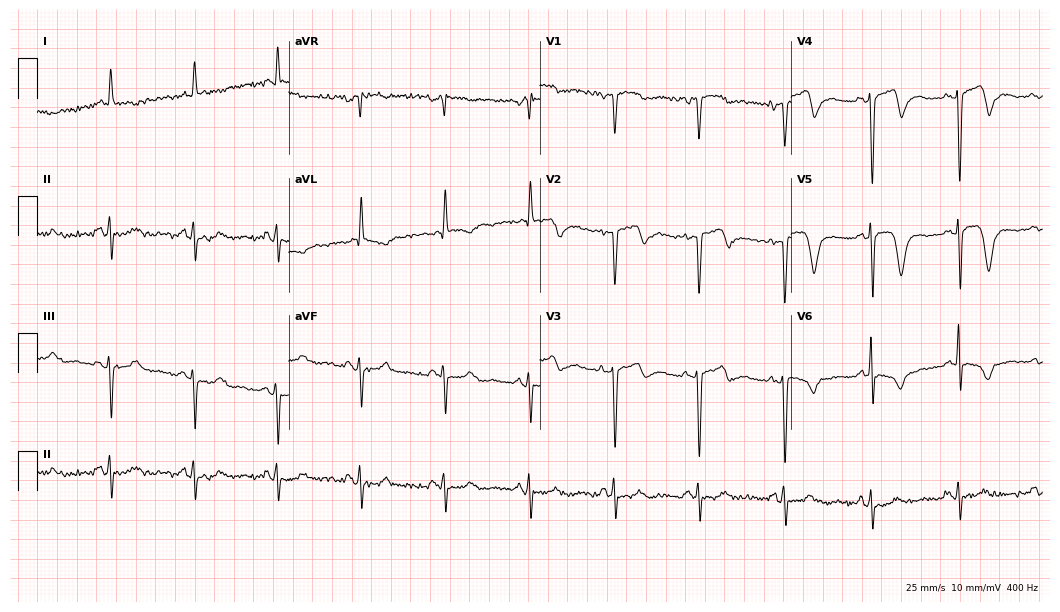
12-lead ECG from a male patient, 70 years old (10.2-second recording at 400 Hz). No first-degree AV block, right bundle branch block (RBBB), left bundle branch block (LBBB), sinus bradycardia, atrial fibrillation (AF) or sinus tachycardia recorded for this tracing. Findings outside these six are not listed.